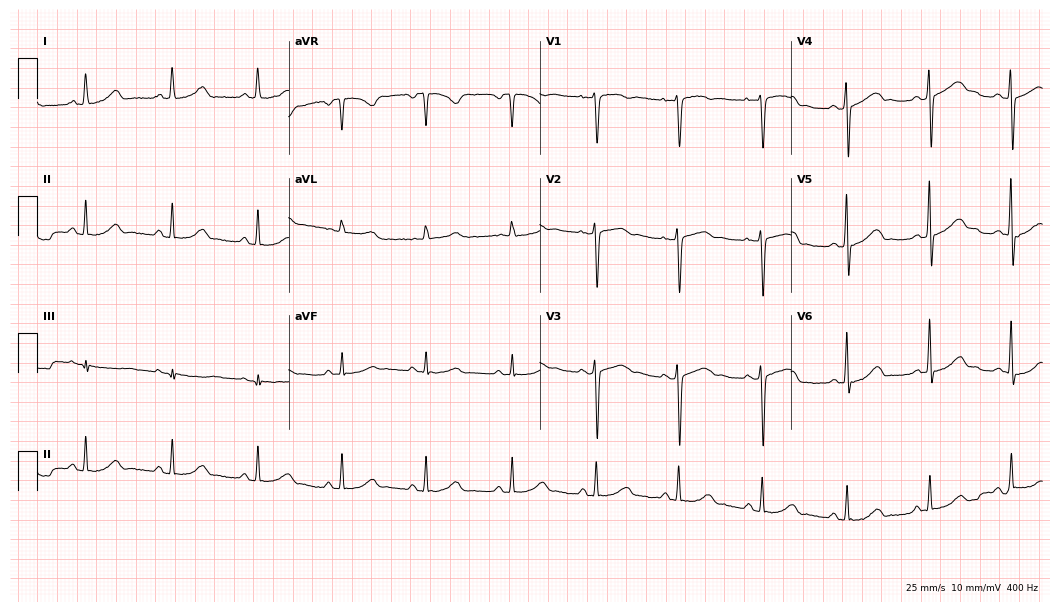
12-lead ECG from a 31-year-old female patient. Recorded interpretation: within normal limits.